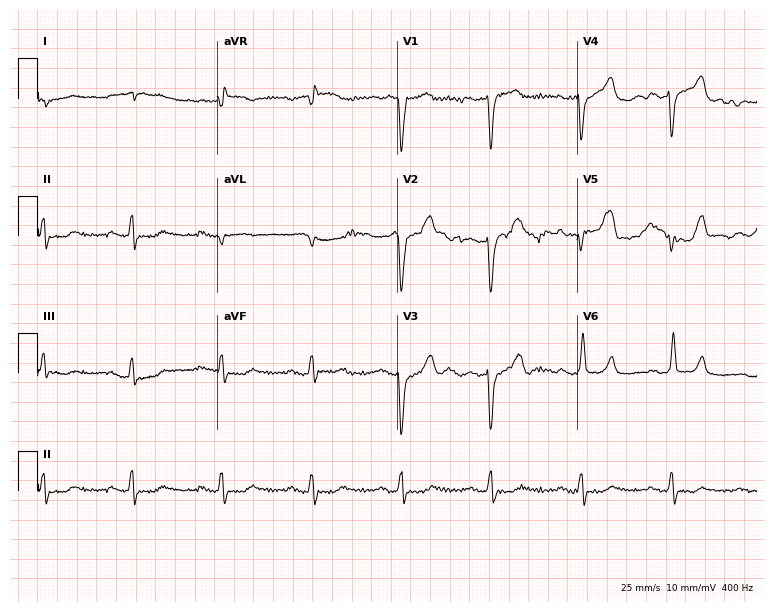
Resting 12-lead electrocardiogram (7.3-second recording at 400 Hz). Patient: a 72-year-old woman. None of these six findings is recorded: first-degree AV block, right bundle branch block, left bundle branch block, sinus bradycardia, atrial fibrillation, sinus tachycardia.